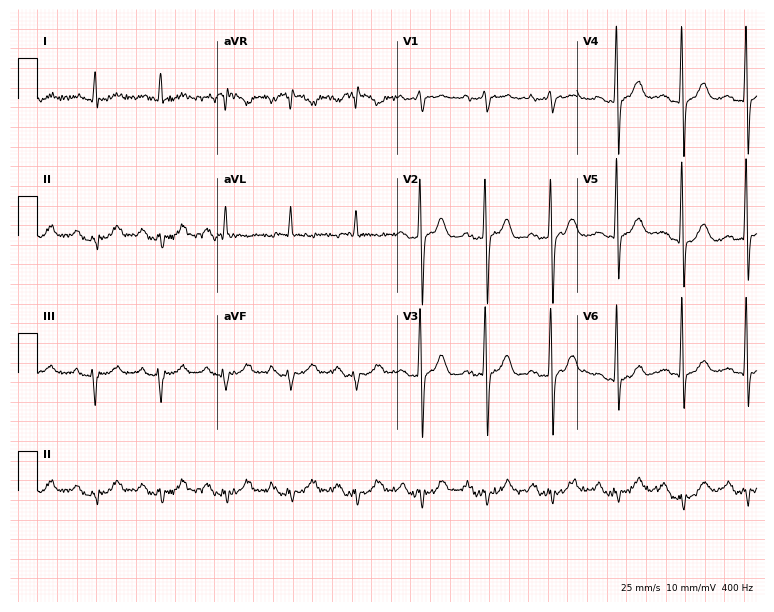
12-lead ECG from a 74-year-old man. Screened for six findings — first-degree AV block, right bundle branch block (RBBB), left bundle branch block (LBBB), sinus bradycardia, atrial fibrillation (AF), sinus tachycardia — none is recorded. Findings outside these six are not listed.